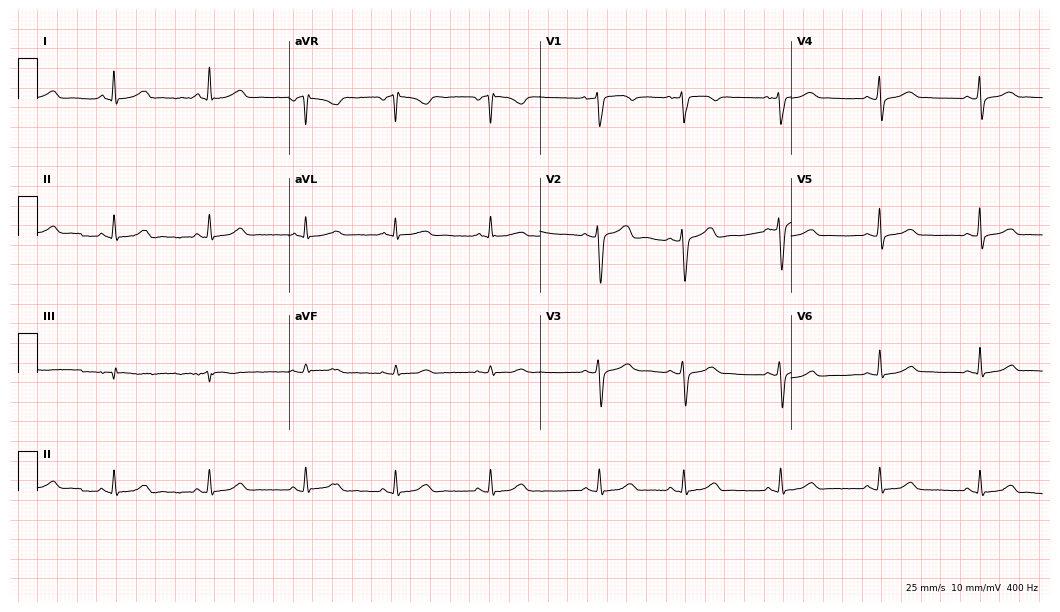
Resting 12-lead electrocardiogram (10.2-second recording at 400 Hz). Patient: a female, 37 years old. Read as a normal ECG.